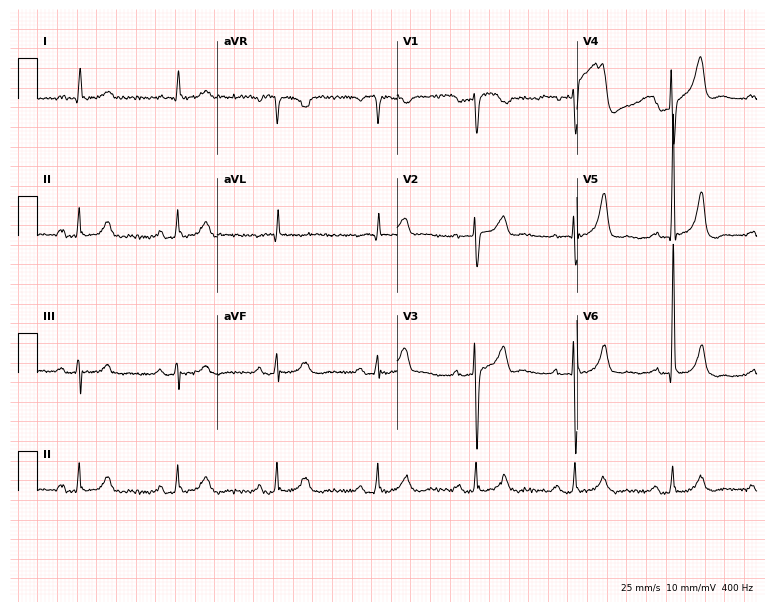
12-lead ECG from a male, 78 years old. Screened for six findings — first-degree AV block, right bundle branch block, left bundle branch block, sinus bradycardia, atrial fibrillation, sinus tachycardia — none is recorded. Only these six findings were labelled.